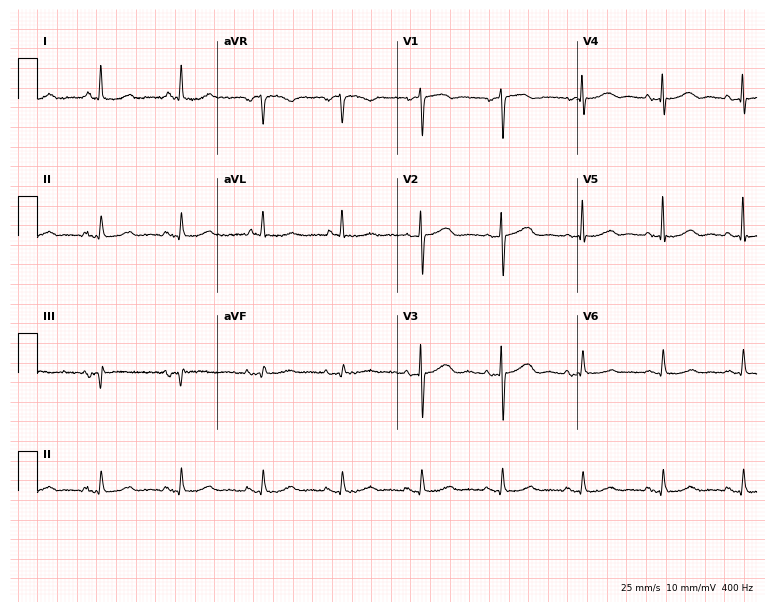
ECG — a 79-year-old woman. Screened for six findings — first-degree AV block, right bundle branch block (RBBB), left bundle branch block (LBBB), sinus bradycardia, atrial fibrillation (AF), sinus tachycardia — none is recorded.